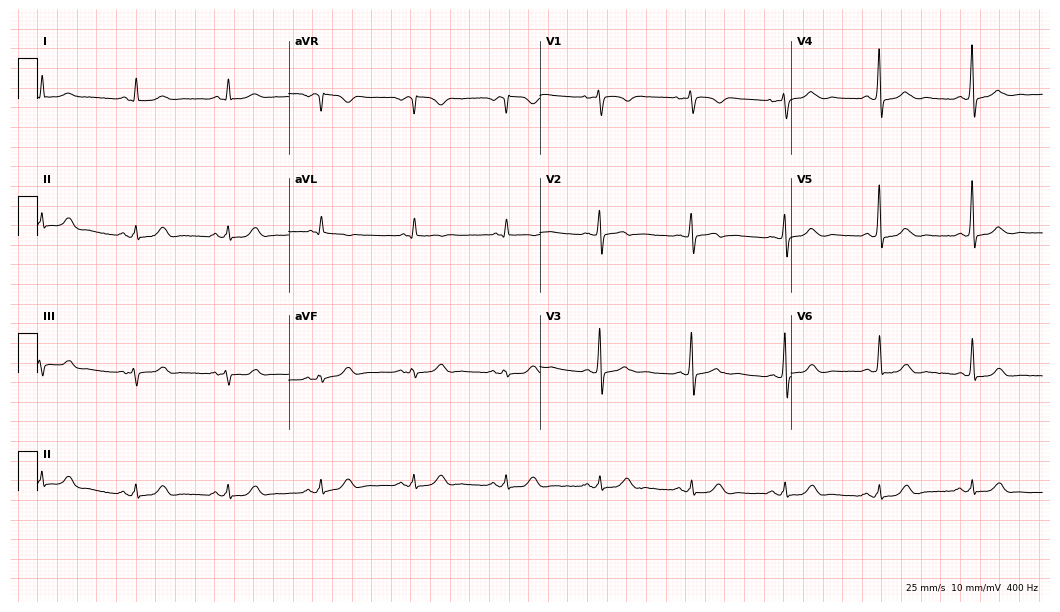
Standard 12-lead ECG recorded from a male patient, 68 years old (10.2-second recording at 400 Hz). None of these six findings is recorded: first-degree AV block, right bundle branch block (RBBB), left bundle branch block (LBBB), sinus bradycardia, atrial fibrillation (AF), sinus tachycardia. Only these six findings were labelled.